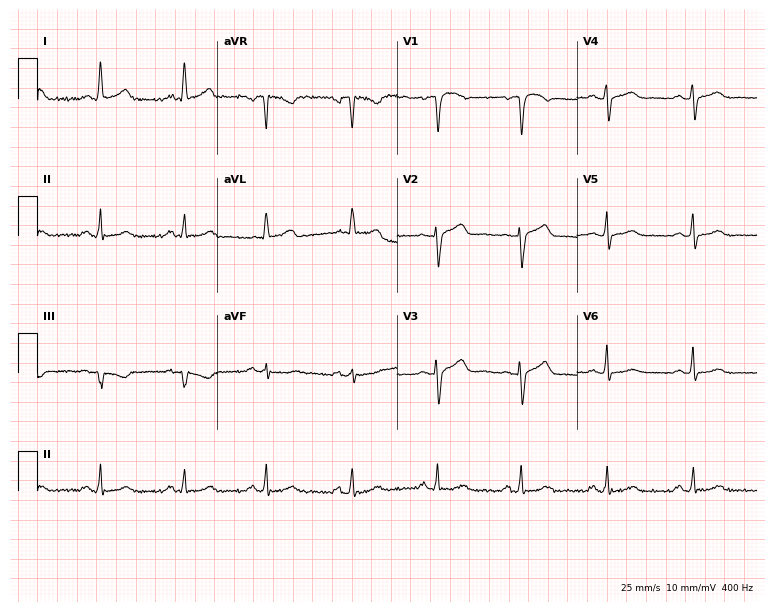
12-lead ECG (7.3-second recording at 400 Hz) from a 58-year-old woman. Labelled as a normal ECG.